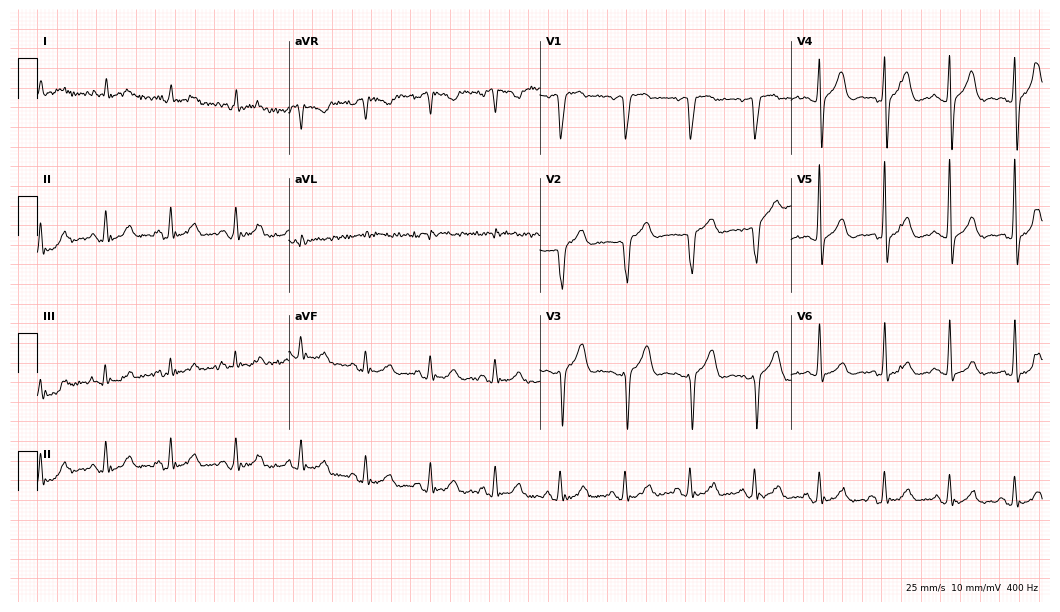
Standard 12-lead ECG recorded from a male patient, 74 years old. None of these six findings is recorded: first-degree AV block, right bundle branch block, left bundle branch block, sinus bradycardia, atrial fibrillation, sinus tachycardia. Only these six findings were labelled.